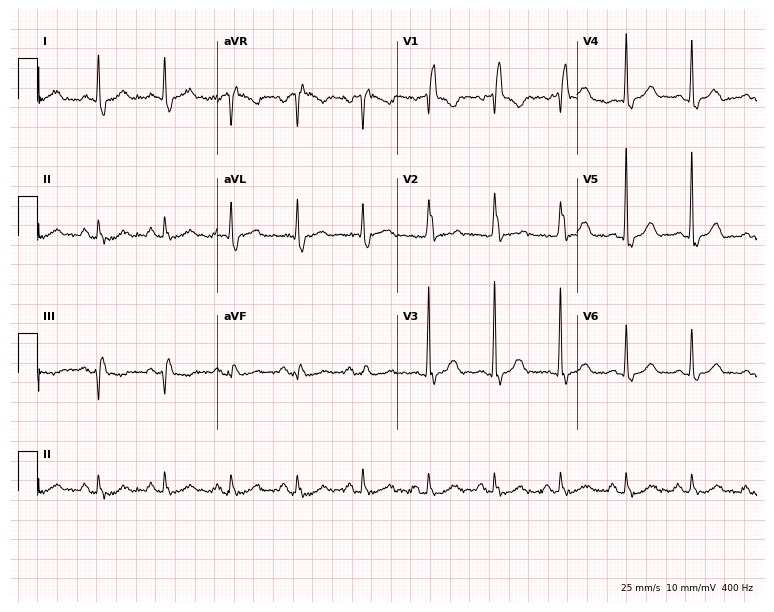
Standard 12-lead ECG recorded from a female, 76 years old (7.3-second recording at 400 Hz). The tracing shows right bundle branch block.